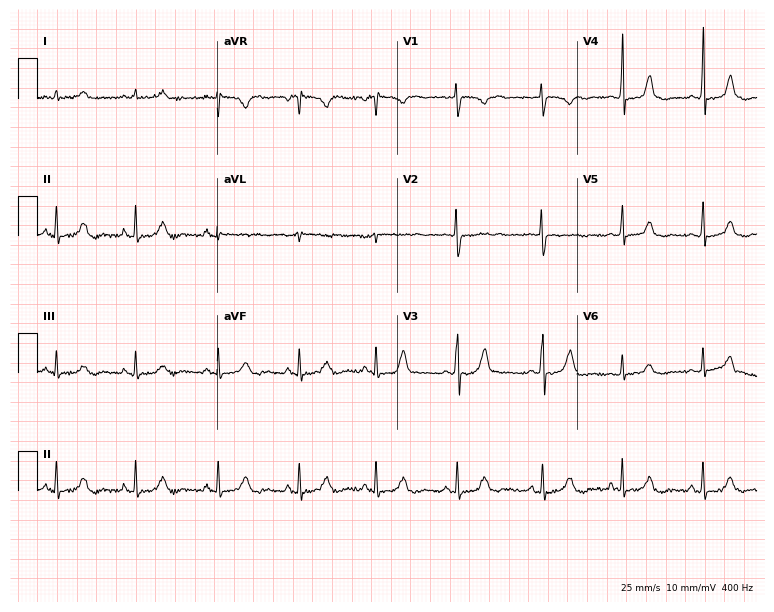
ECG (7.3-second recording at 400 Hz) — a woman, 40 years old. Screened for six findings — first-degree AV block, right bundle branch block (RBBB), left bundle branch block (LBBB), sinus bradycardia, atrial fibrillation (AF), sinus tachycardia — none is recorded.